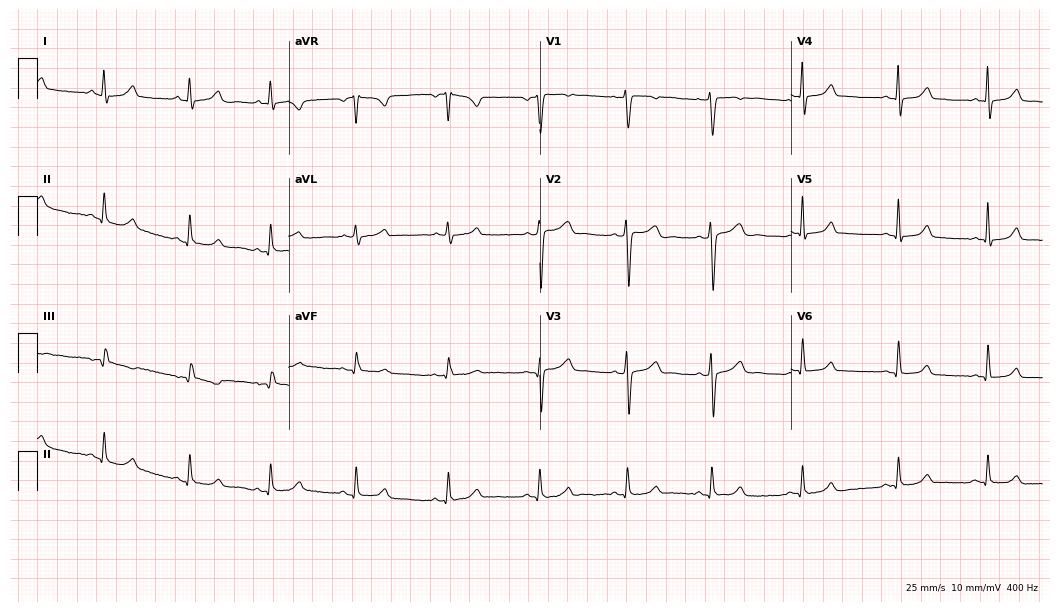
Electrocardiogram, a female patient, 23 years old. Overall reading on record: normal ECG.